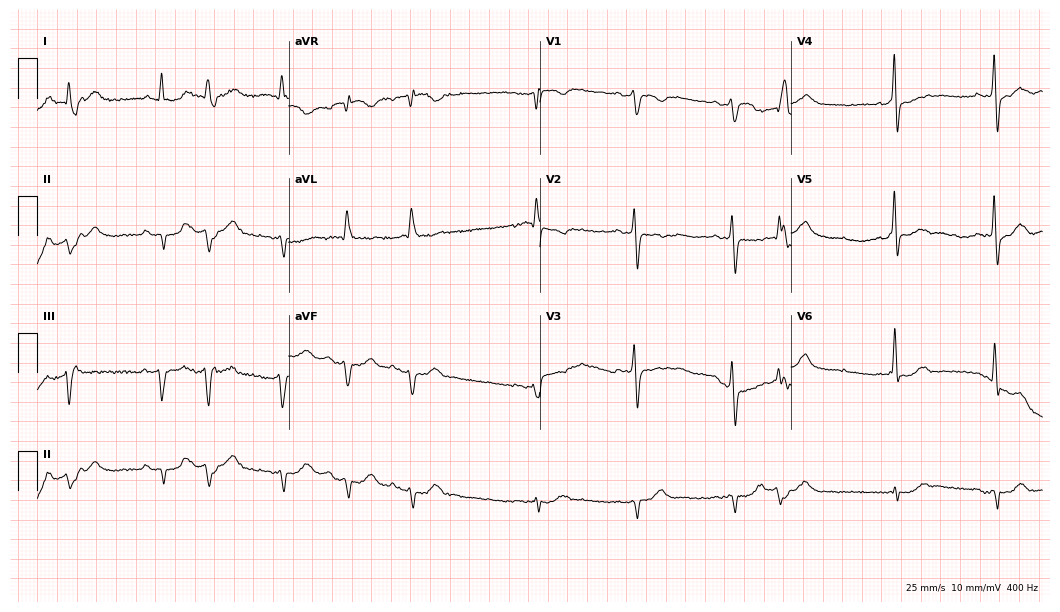
12-lead ECG (10.2-second recording at 400 Hz) from a man, 78 years old. Screened for six findings — first-degree AV block, right bundle branch block, left bundle branch block, sinus bradycardia, atrial fibrillation, sinus tachycardia — none is recorded. Other findings, if any, are not listed.